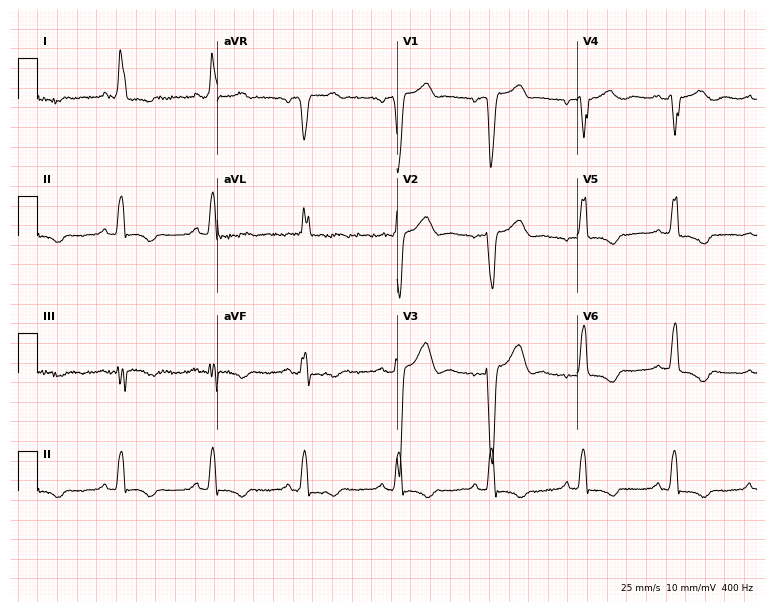
12-lead ECG from a 56-year-old female patient. Findings include left bundle branch block (LBBB).